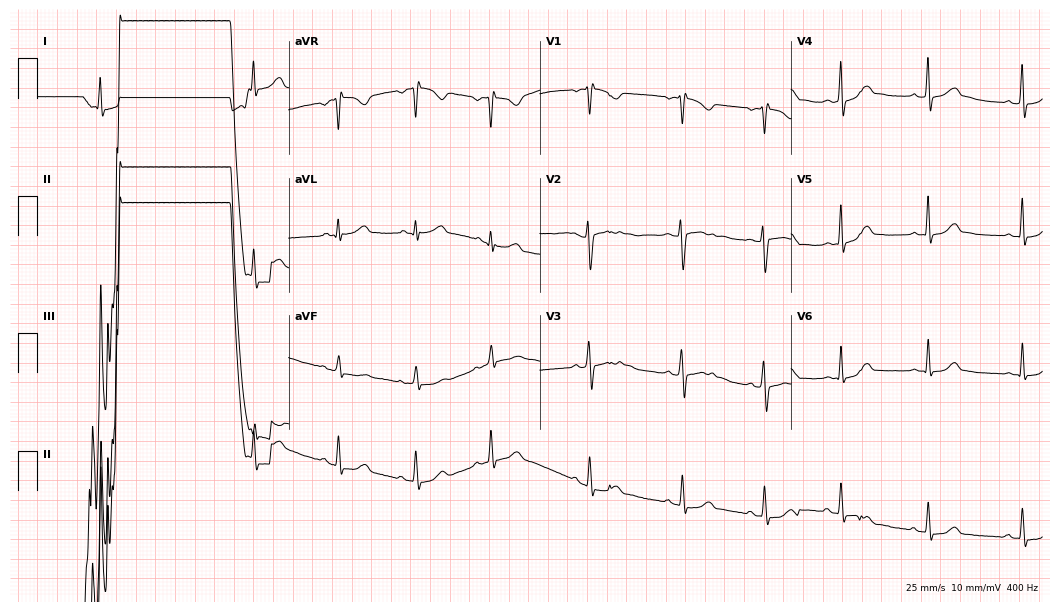
Electrocardiogram, a 22-year-old female patient. Of the six screened findings (first-degree AV block, right bundle branch block, left bundle branch block, sinus bradycardia, atrial fibrillation, sinus tachycardia), none is recorded. Findings outside these six are not listed.